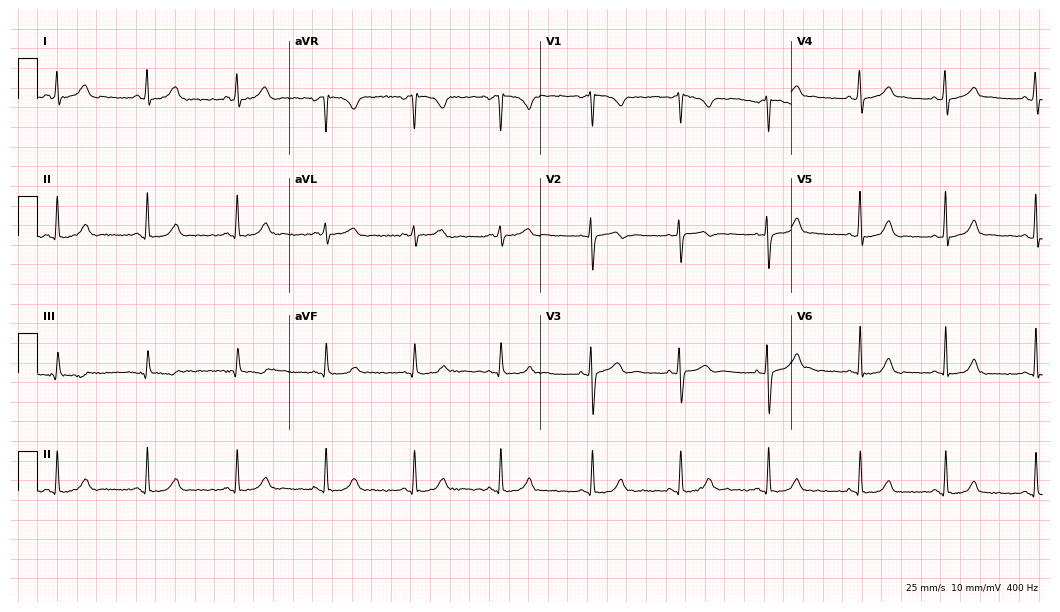
12-lead ECG (10.2-second recording at 400 Hz) from a 30-year-old female patient. Screened for six findings — first-degree AV block, right bundle branch block, left bundle branch block, sinus bradycardia, atrial fibrillation, sinus tachycardia — none is recorded.